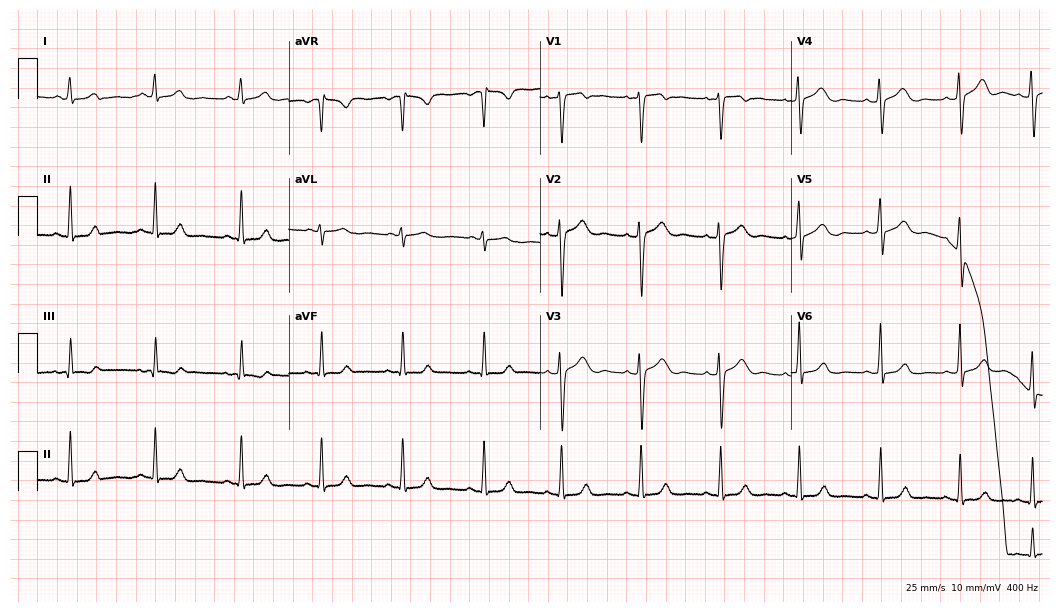
ECG (10.2-second recording at 400 Hz) — a 17-year-old woman. Screened for six findings — first-degree AV block, right bundle branch block (RBBB), left bundle branch block (LBBB), sinus bradycardia, atrial fibrillation (AF), sinus tachycardia — none is recorded. Findings outside these six are not listed.